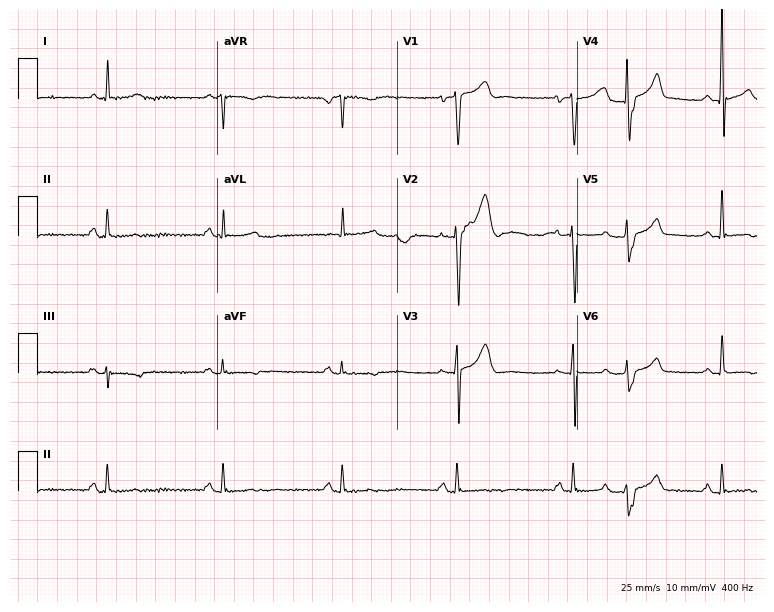
12-lead ECG (7.3-second recording at 400 Hz) from a 47-year-old man. Findings include sinus bradycardia (a sinus rate of 50 beats per minute or less).